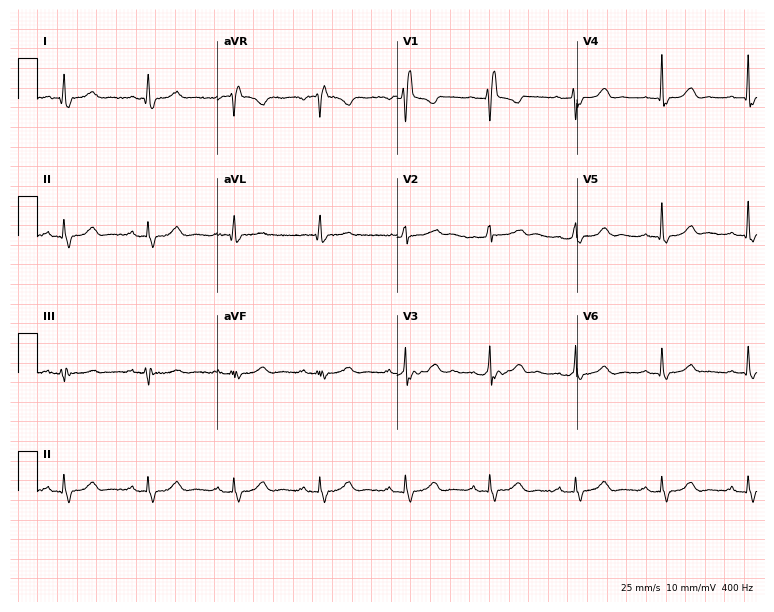
12-lead ECG from a 51-year-old female patient. Shows right bundle branch block (RBBB).